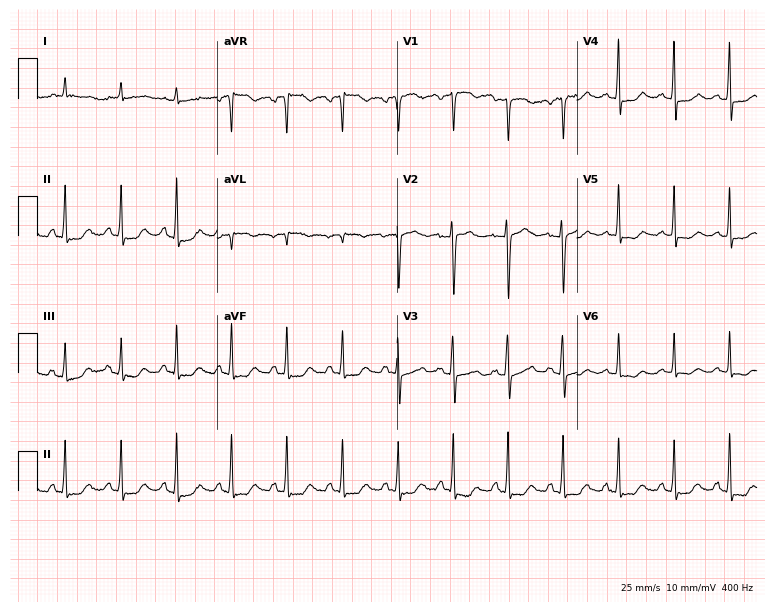
ECG — a 79-year-old female patient. Findings include sinus tachycardia (a sinus rate of 100 beats per minute or more).